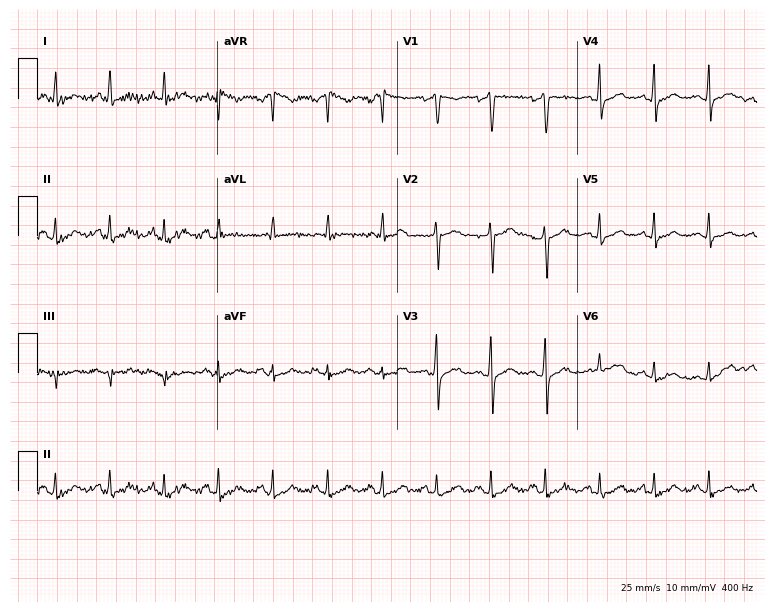
12-lead ECG from a 34-year-old man (7.3-second recording at 400 Hz). Shows sinus tachycardia (a sinus rate of 100 beats per minute or more).